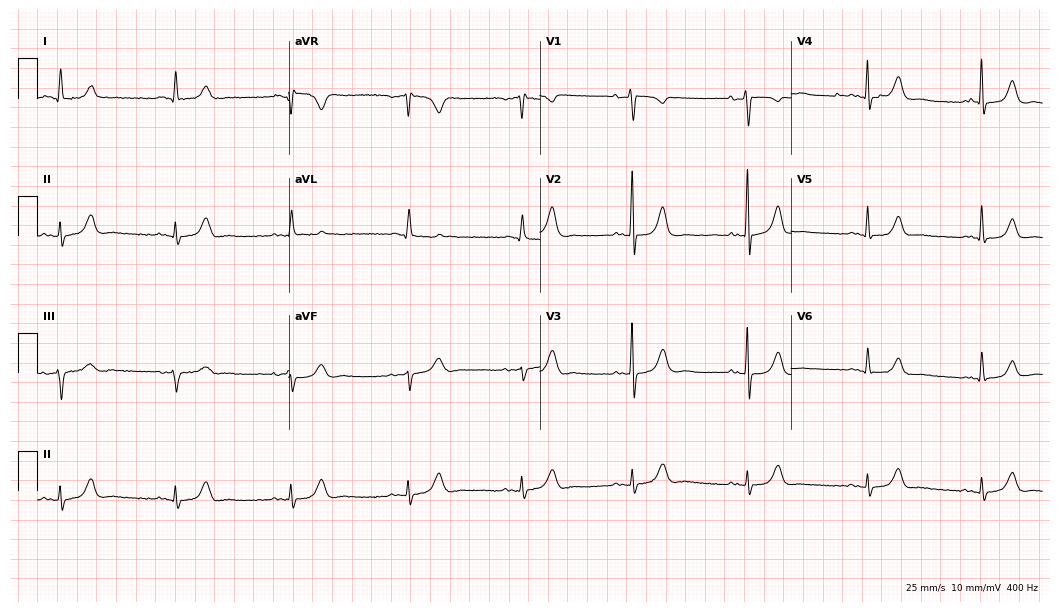
12-lead ECG from a female, 83 years old (10.2-second recording at 400 Hz). No first-degree AV block, right bundle branch block, left bundle branch block, sinus bradycardia, atrial fibrillation or sinus tachycardia recorded for this tracing. Findings outside these six are not listed.